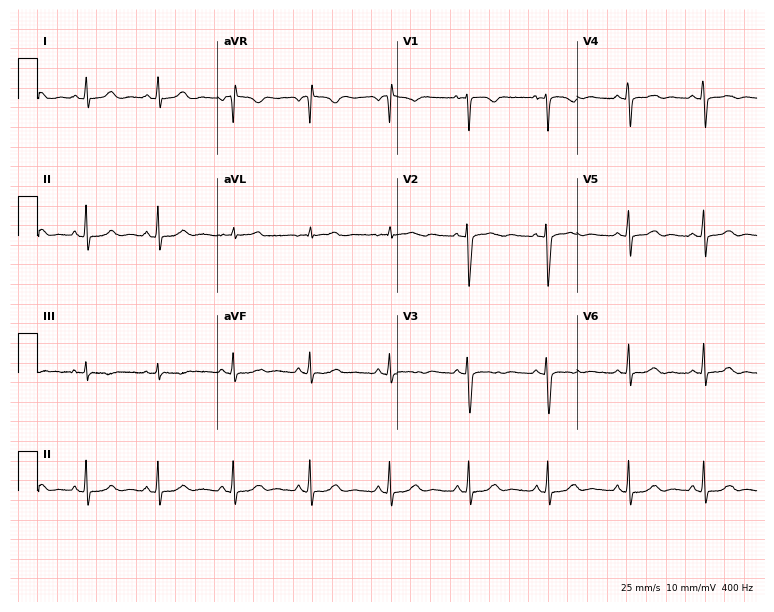
Standard 12-lead ECG recorded from a 34-year-old female patient. Read as a normal ECG.